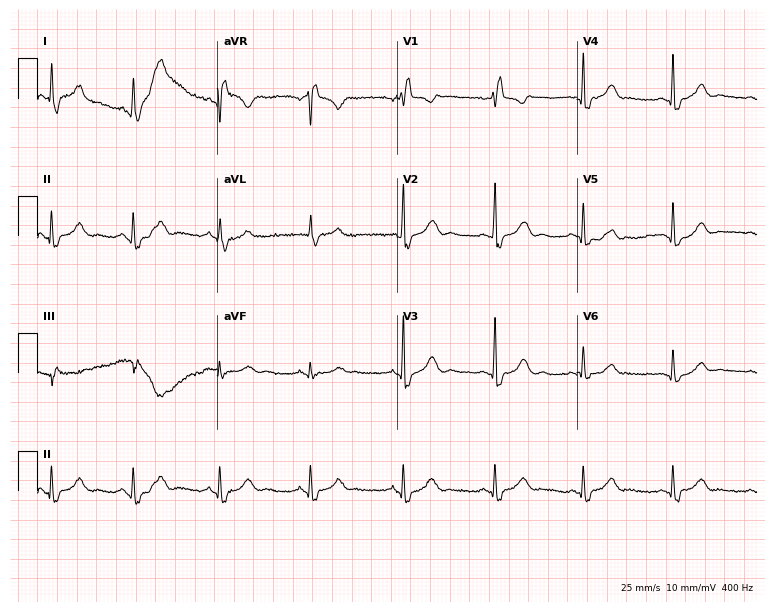
12-lead ECG (7.3-second recording at 400 Hz) from a female, 55 years old. Findings include right bundle branch block.